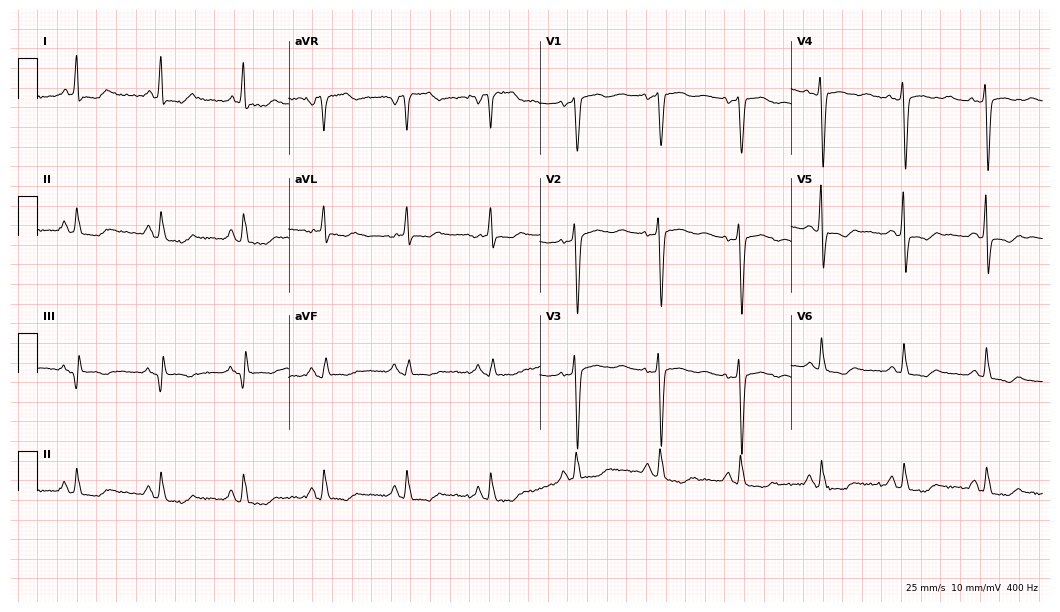
ECG — a female, 50 years old. Screened for six findings — first-degree AV block, right bundle branch block, left bundle branch block, sinus bradycardia, atrial fibrillation, sinus tachycardia — none is recorded. Only these six findings were labelled.